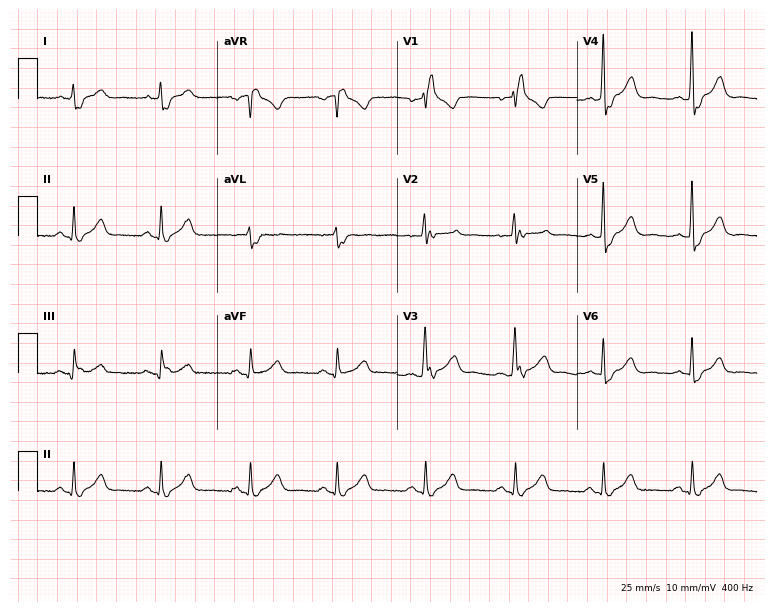
12-lead ECG from a 50-year-old male patient (7.3-second recording at 400 Hz). Shows right bundle branch block (RBBB).